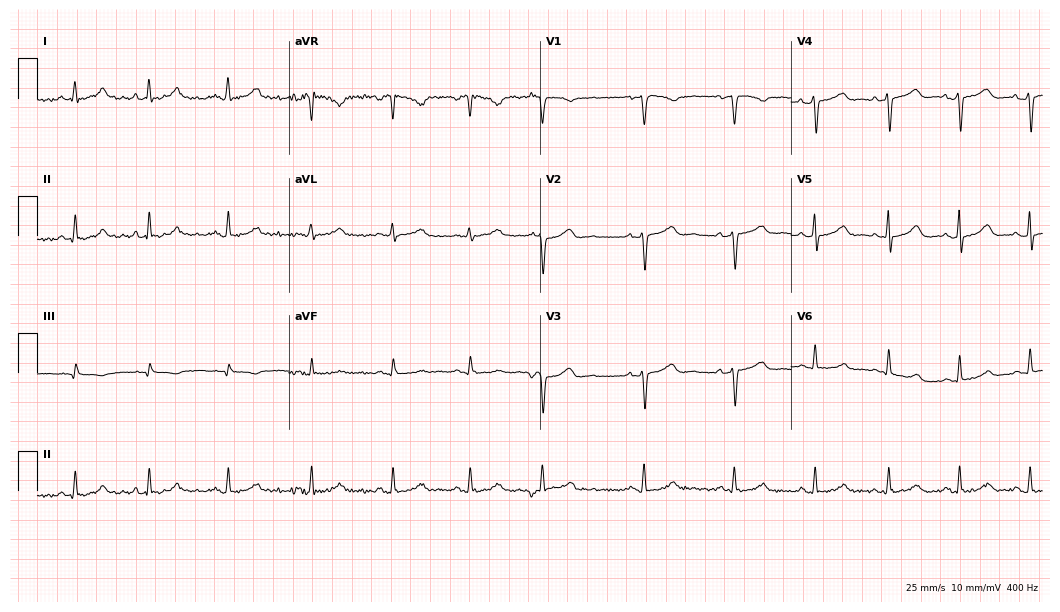
ECG (10.2-second recording at 400 Hz) — a 46-year-old female. Labelled as a normal ECG.